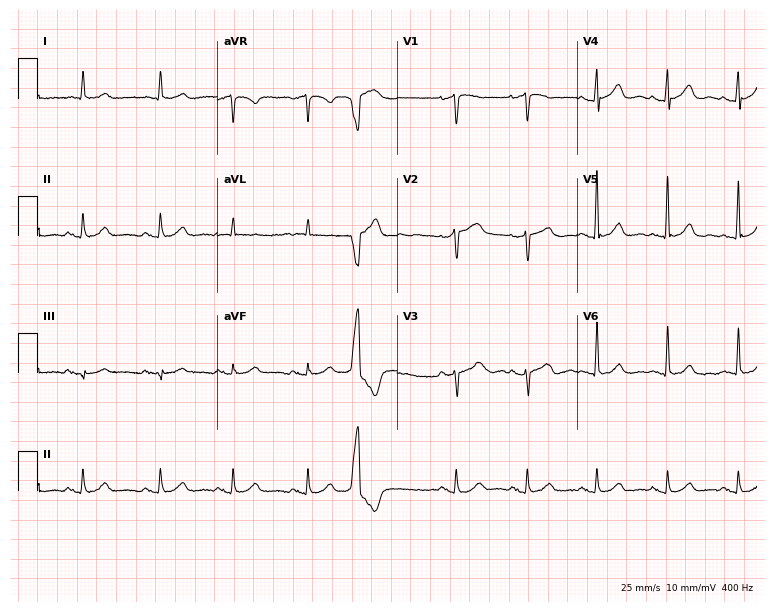
ECG — an 82-year-old male patient. Screened for six findings — first-degree AV block, right bundle branch block, left bundle branch block, sinus bradycardia, atrial fibrillation, sinus tachycardia — none is recorded.